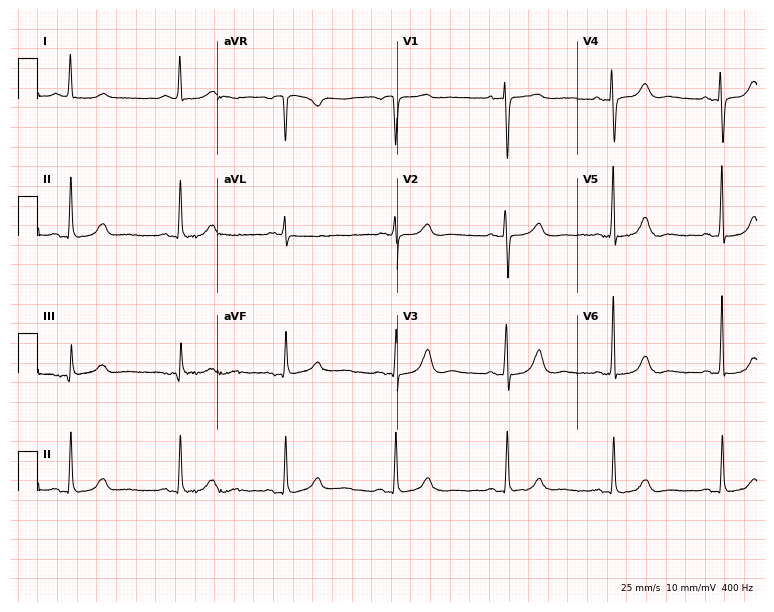
Resting 12-lead electrocardiogram (7.3-second recording at 400 Hz). Patient: a female, 72 years old. Read as a normal ECG.